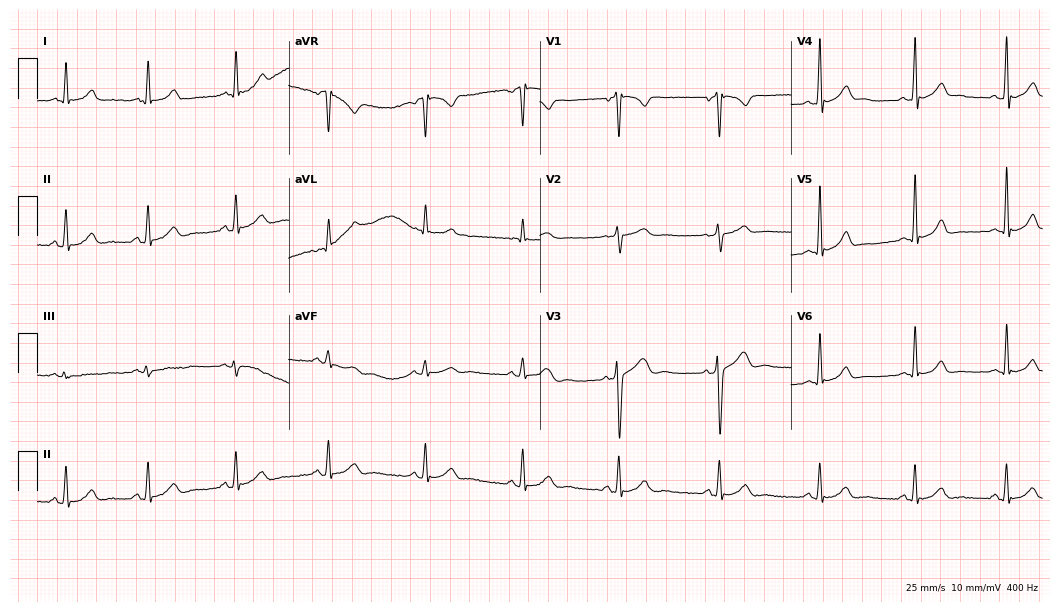
12-lead ECG (10.2-second recording at 400 Hz) from a 43-year-old male. Screened for six findings — first-degree AV block, right bundle branch block (RBBB), left bundle branch block (LBBB), sinus bradycardia, atrial fibrillation (AF), sinus tachycardia — none is recorded.